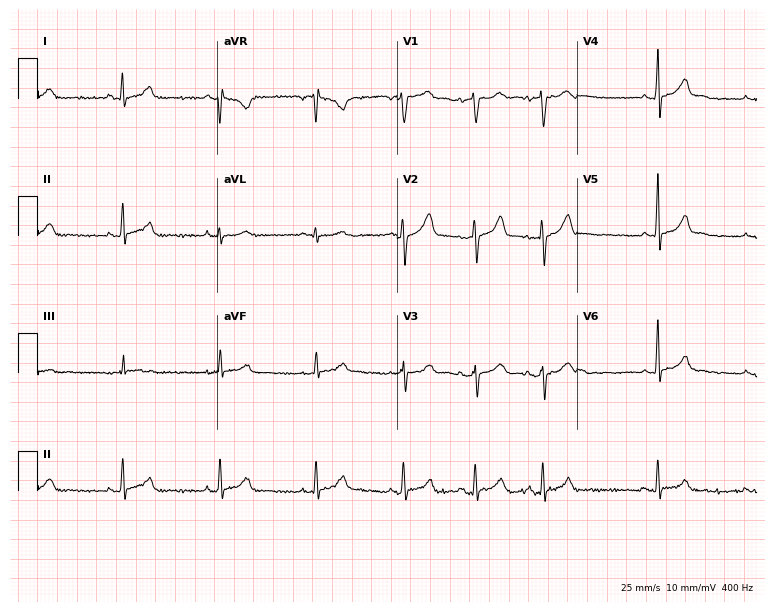
ECG — a 33-year-old male. Screened for six findings — first-degree AV block, right bundle branch block (RBBB), left bundle branch block (LBBB), sinus bradycardia, atrial fibrillation (AF), sinus tachycardia — none is recorded.